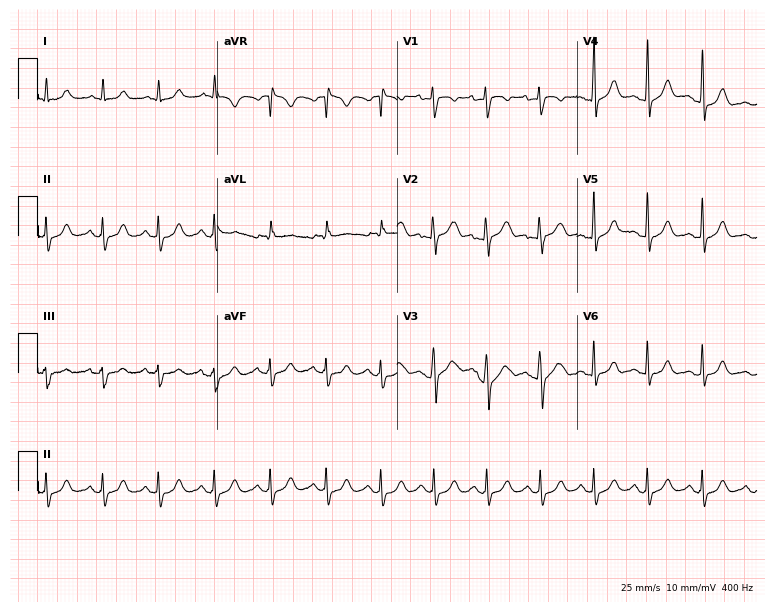
ECG — a 33-year-old female patient. Findings include sinus tachycardia (a sinus rate of 100 beats per minute or more).